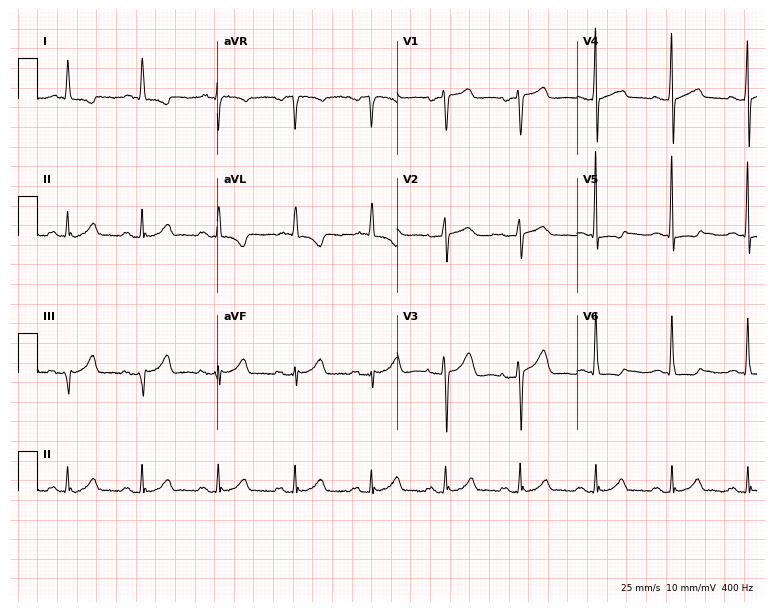
Resting 12-lead electrocardiogram. Patient: a female, 86 years old. None of these six findings is recorded: first-degree AV block, right bundle branch block, left bundle branch block, sinus bradycardia, atrial fibrillation, sinus tachycardia. Findings outside these six are not listed.